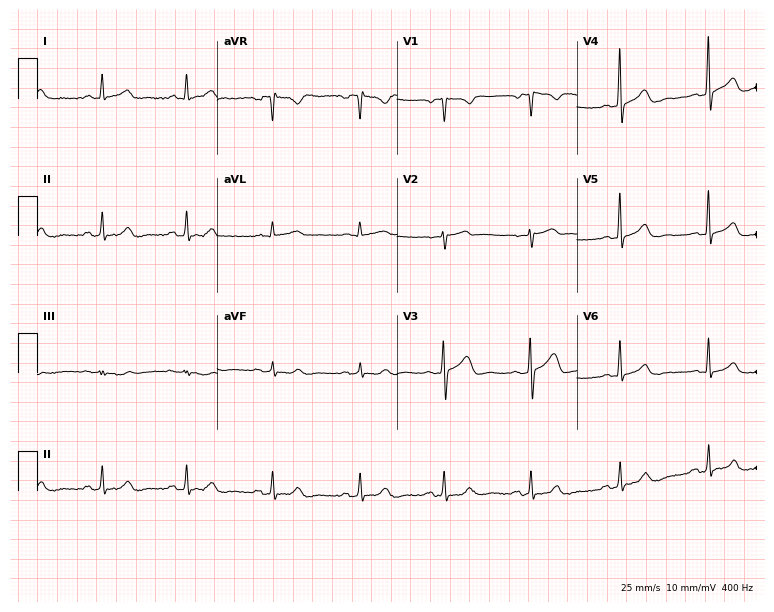
Electrocardiogram (7.3-second recording at 400 Hz), a 53-year-old male patient. Of the six screened findings (first-degree AV block, right bundle branch block (RBBB), left bundle branch block (LBBB), sinus bradycardia, atrial fibrillation (AF), sinus tachycardia), none is recorded. Only these six findings were labelled.